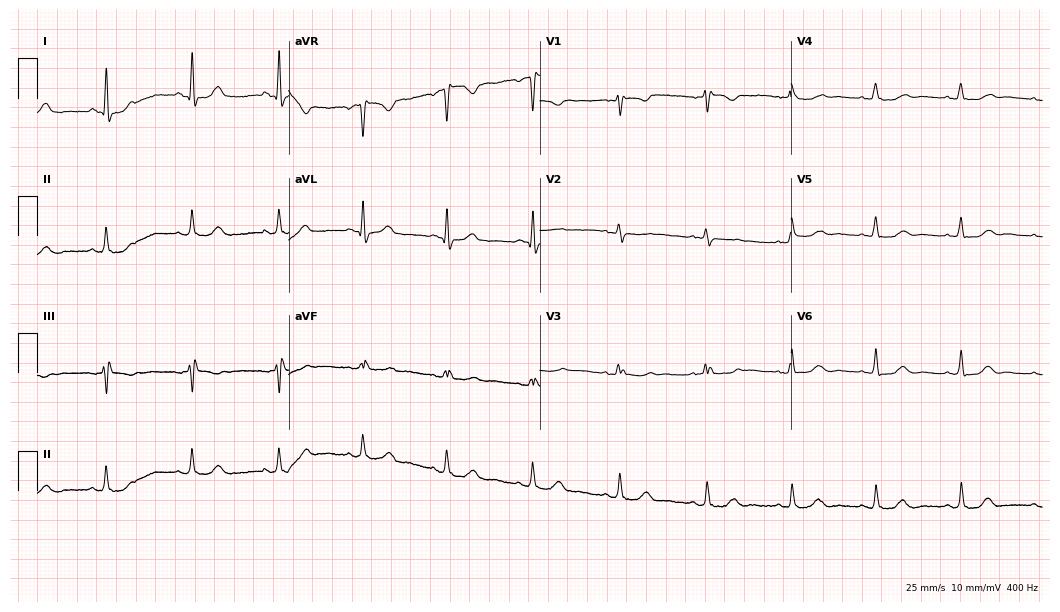
ECG (10.2-second recording at 400 Hz) — a 53-year-old woman. Screened for six findings — first-degree AV block, right bundle branch block, left bundle branch block, sinus bradycardia, atrial fibrillation, sinus tachycardia — none is recorded.